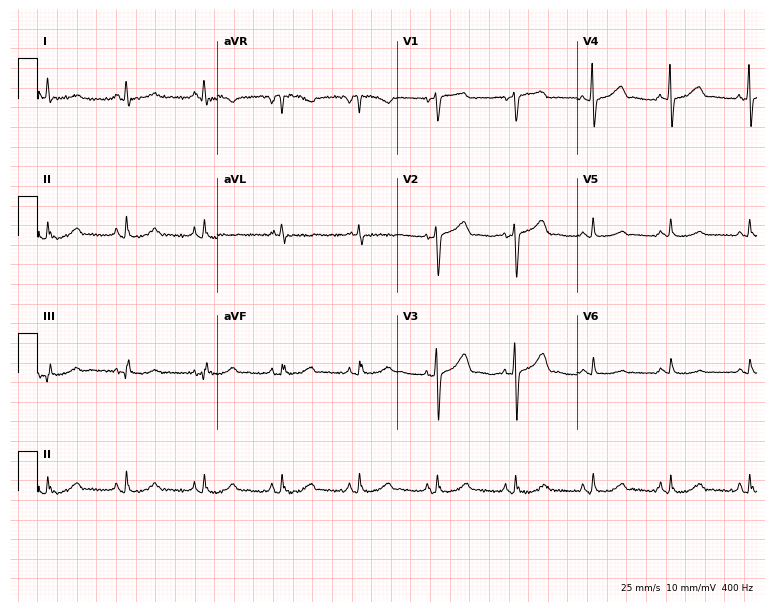
ECG — a female, 67 years old. Screened for six findings — first-degree AV block, right bundle branch block, left bundle branch block, sinus bradycardia, atrial fibrillation, sinus tachycardia — none is recorded. Only these six findings were labelled.